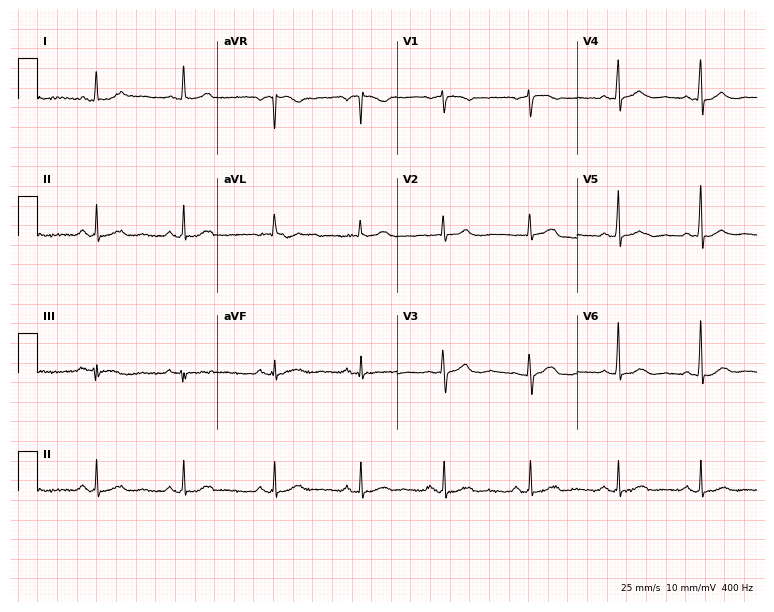
Electrocardiogram (7.3-second recording at 400 Hz), a 61-year-old female patient. Overall reading on record: normal ECG.